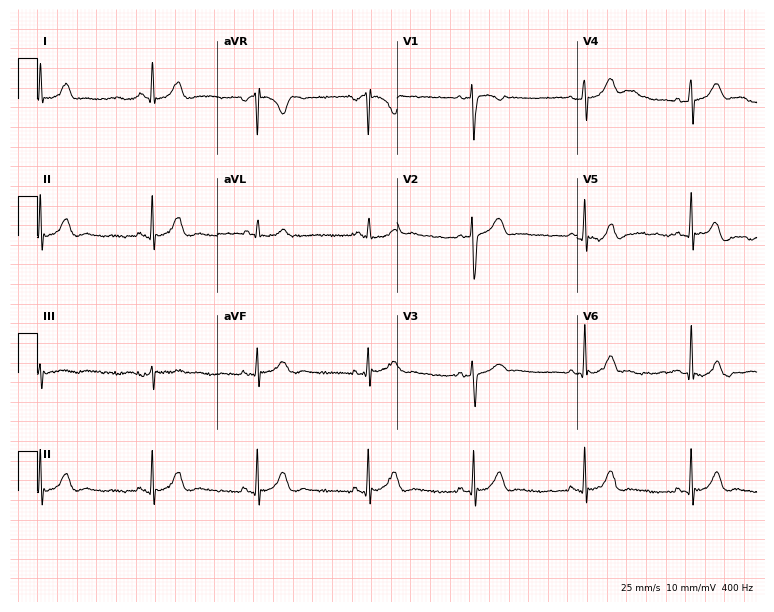
12-lead ECG from a 26-year-old female patient. Recorded interpretation: within normal limits.